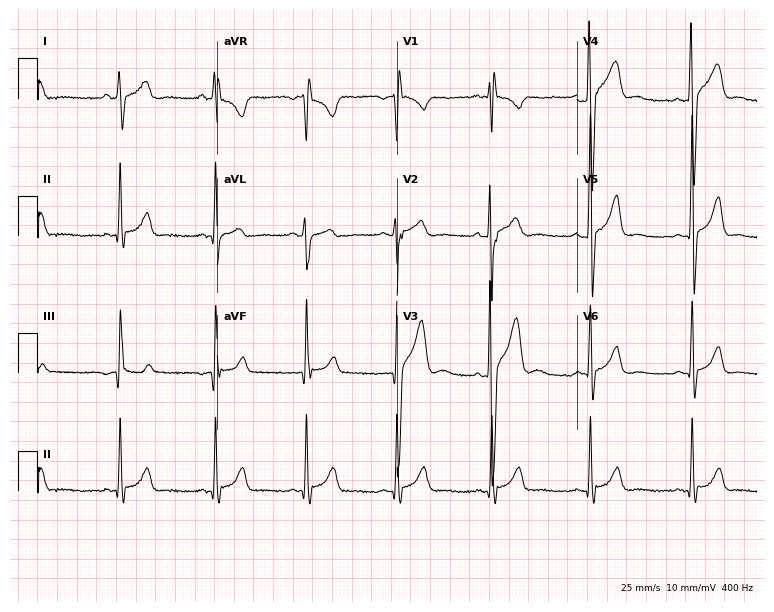
Resting 12-lead electrocardiogram (7.3-second recording at 400 Hz). Patient: a male, 24 years old. Read as a normal ECG.